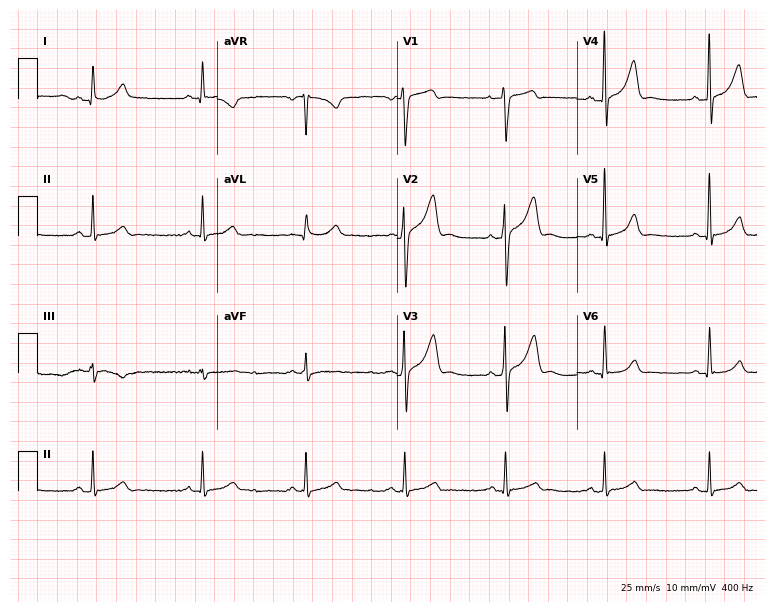
ECG (7.3-second recording at 400 Hz) — a 52-year-old male. Screened for six findings — first-degree AV block, right bundle branch block (RBBB), left bundle branch block (LBBB), sinus bradycardia, atrial fibrillation (AF), sinus tachycardia — none is recorded.